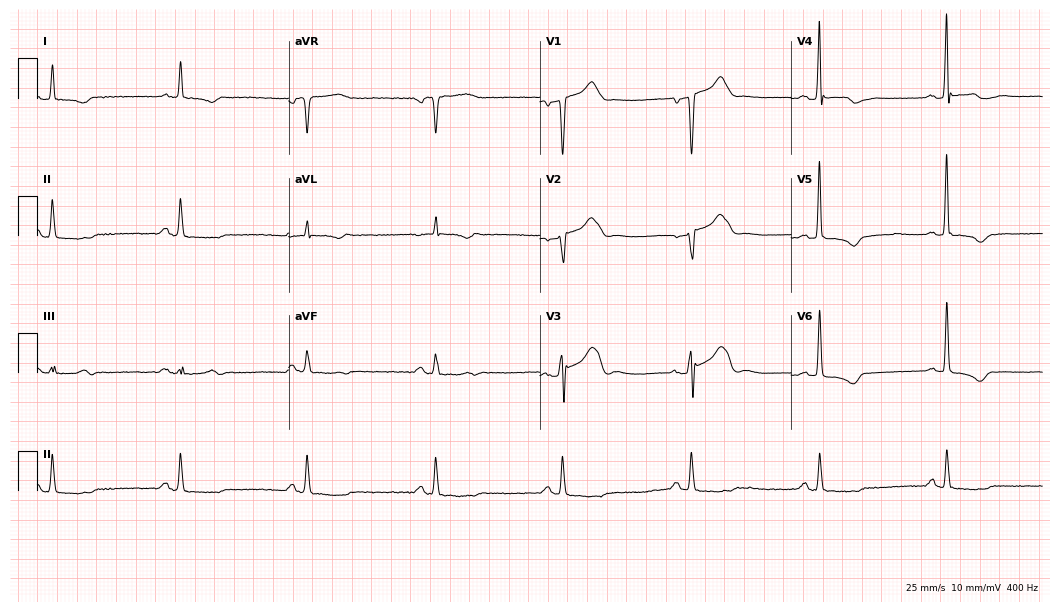
Resting 12-lead electrocardiogram (10.2-second recording at 400 Hz). Patient: a male, 86 years old. None of these six findings is recorded: first-degree AV block, right bundle branch block, left bundle branch block, sinus bradycardia, atrial fibrillation, sinus tachycardia.